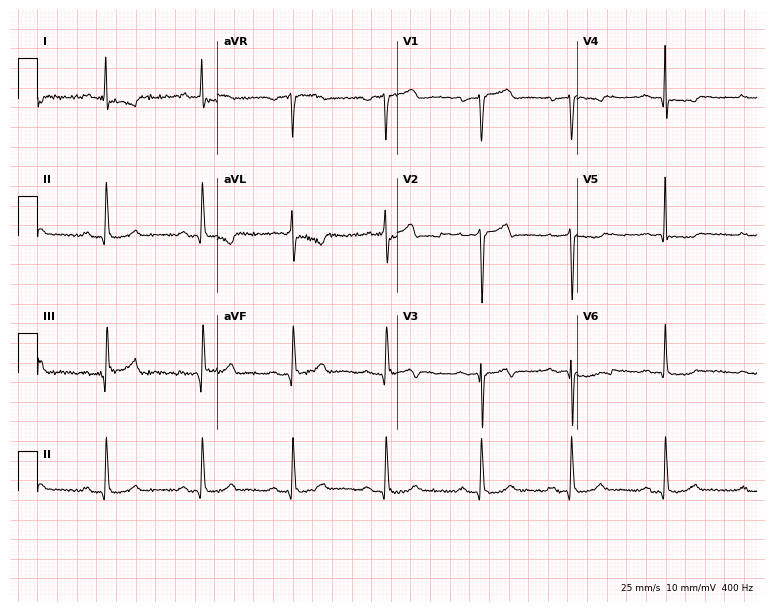
ECG — a 37-year-old female patient. Screened for six findings — first-degree AV block, right bundle branch block, left bundle branch block, sinus bradycardia, atrial fibrillation, sinus tachycardia — none is recorded. Findings outside these six are not listed.